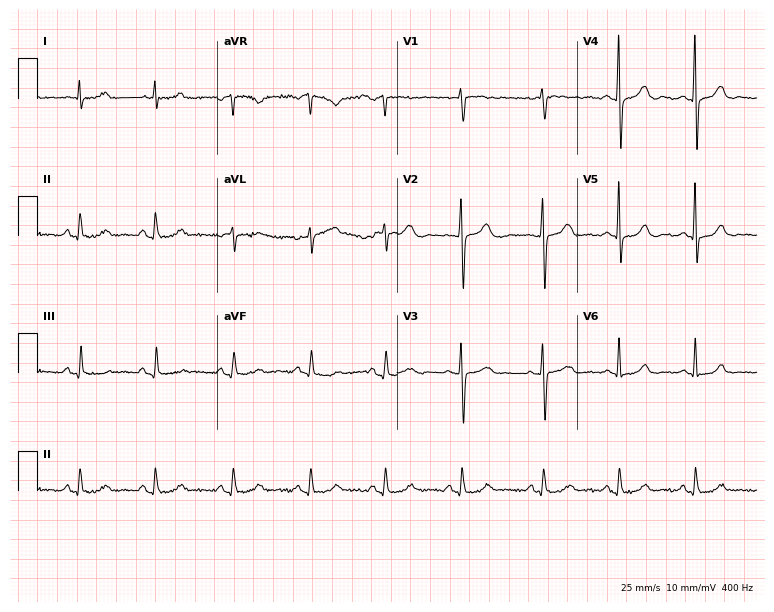
Resting 12-lead electrocardiogram (7.3-second recording at 400 Hz). Patient: a female, 48 years old. Read as a normal ECG.